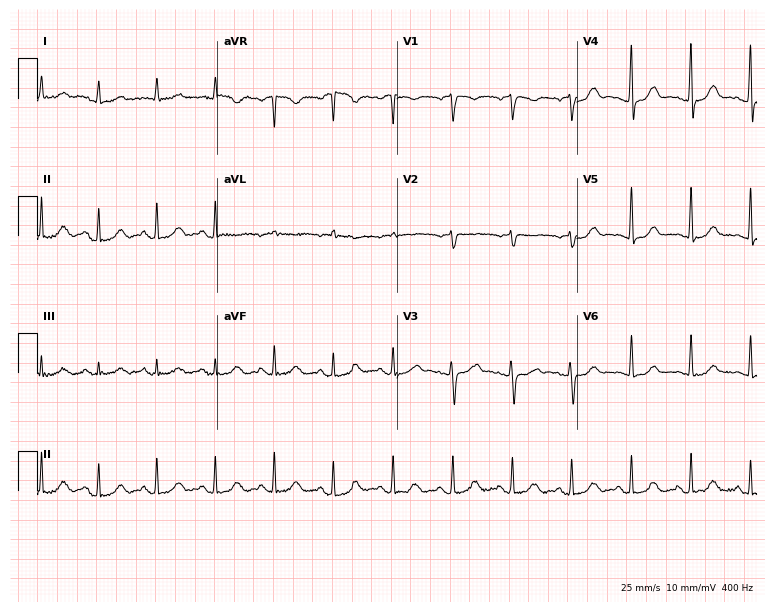
Resting 12-lead electrocardiogram. Patient: a woman, 63 years old. None of these six findings is recorded: first-degree AV block, right bundle branch block, left bundle branch block, sinus bradycardia, atrial fibrillation, sinus tachycardia. Only these six findings were labelled.